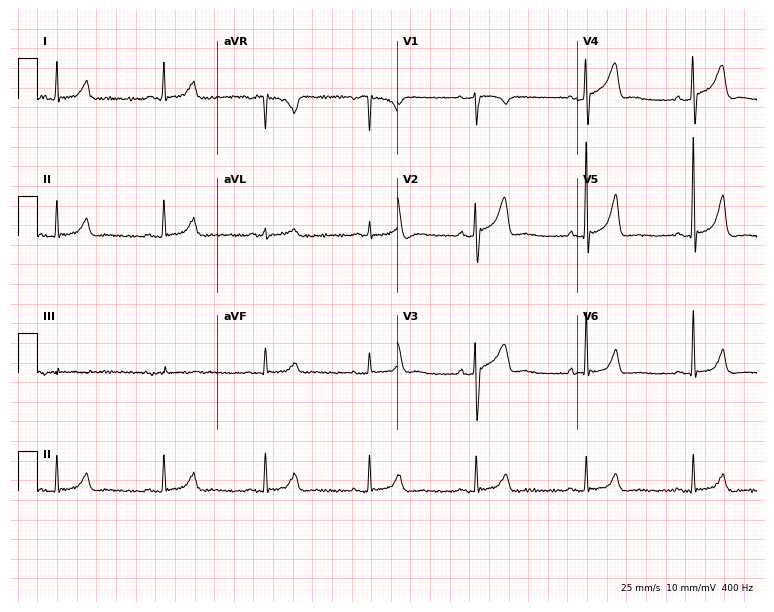
Standard 12-lead ECG recorded from a 66-year-old male (7.3-second recording at 400 Hz). Read as a normal ECG.